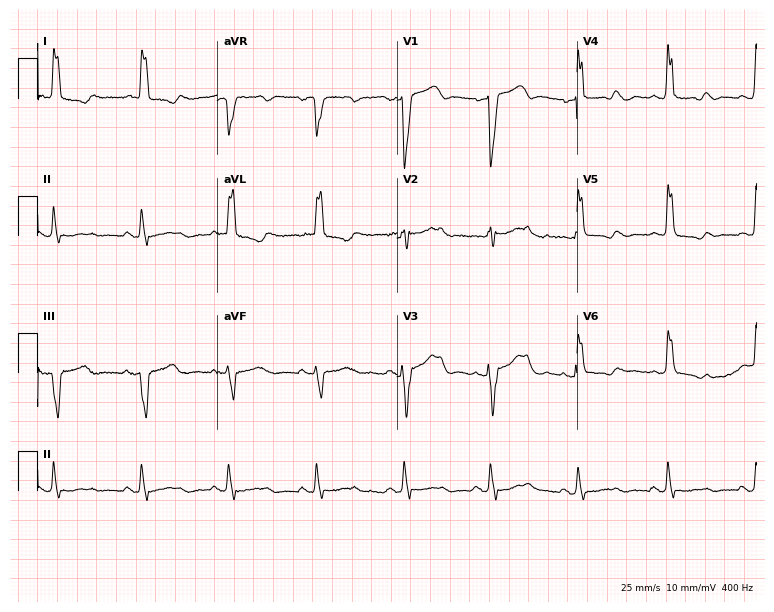
Standard 12-lead ECG recorded from a 78-year-old female (7.3-second recording at 400 Hz). The tracing shows left bundle branch block.